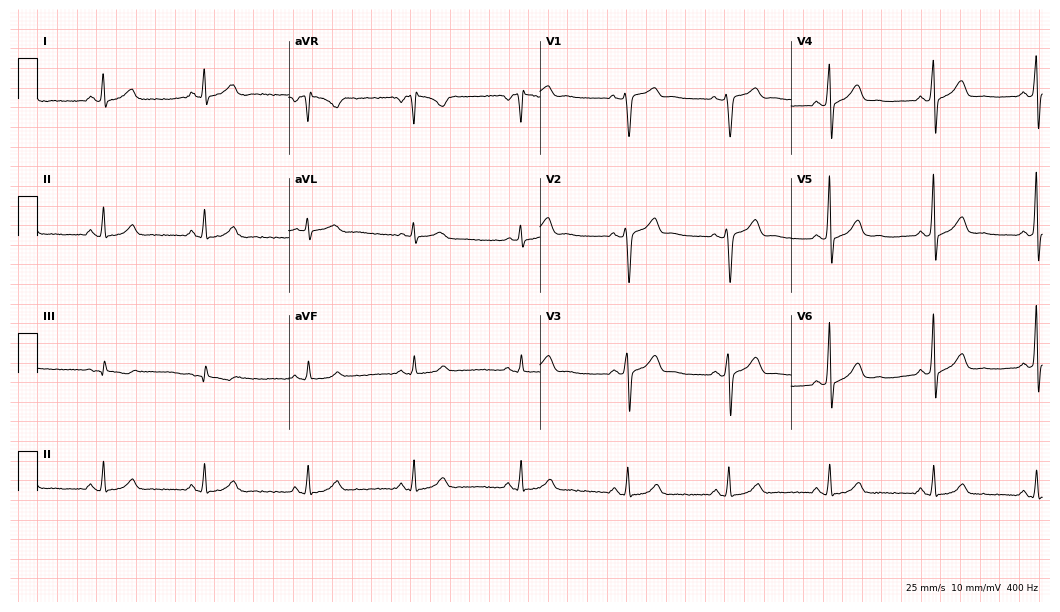
12-lead ECG (10.2-second recording at 400 Hz) from a 49-year-old man. Screened for six findings — first-degree AV block, right bundle branch block (RBBB), left bundle branch block (LBBB), sinus bradycardia, atrial fibrillation (AF), sinus tachycardia — none is recorded. Other findings, if any, are not listed.